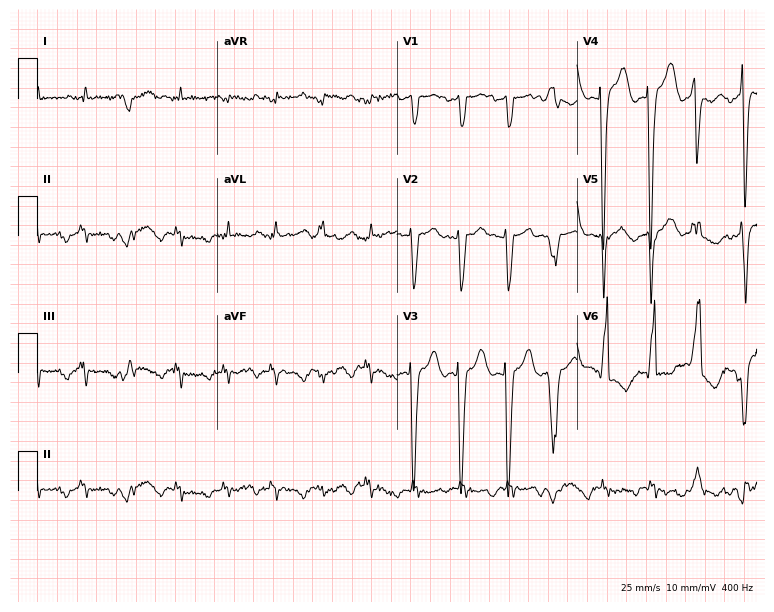
ECG — a 62-year-old man. Screened for six findings — first-degree AV block, right bundle branch block, left bundle branch block, sinus bradycardia, atrial fibrillation, sinus tachycardia — none is recorded.